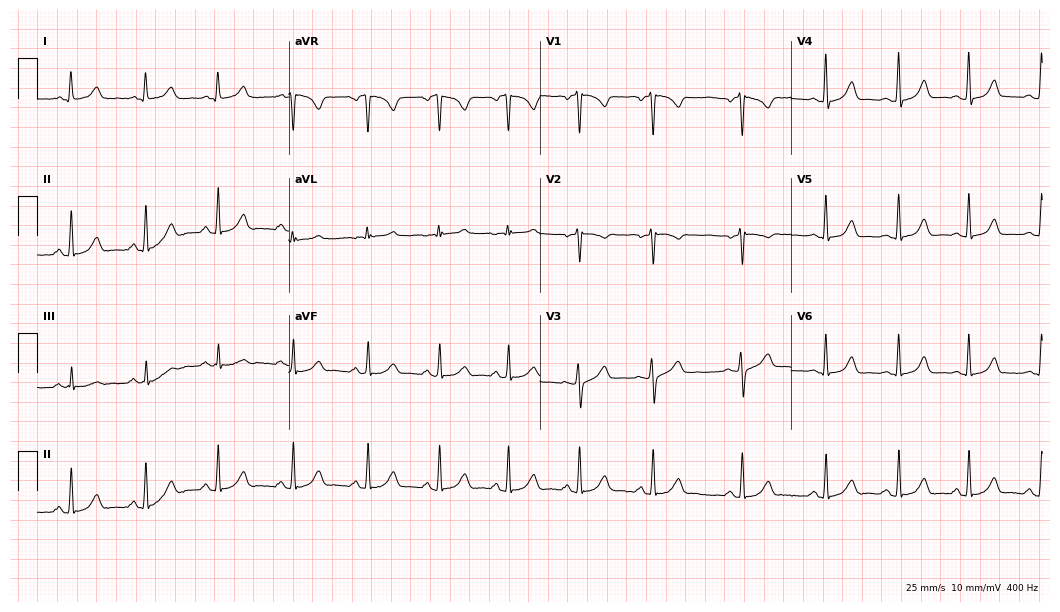
12-lead ECG (10.2-second recording at 400 Hz) from a 26-year-old female. Labelled as a normal ECG.